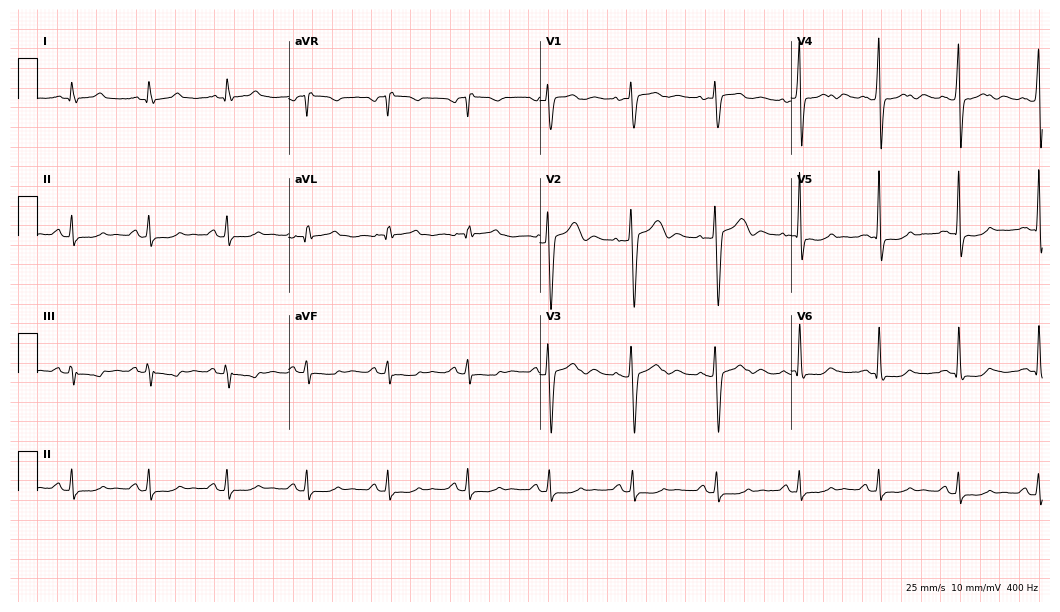
Resting 12-lead electrocardiogram (10.2-second recording at 400 Hz). Patient: a female, 53 years old. None of these six findings is recorded: first-degree AV block, right bundle branch block, left bundle branch block, sinus bradycardia, atrial fibrillation, sinus tachycardia. Only these six findings were labelled.